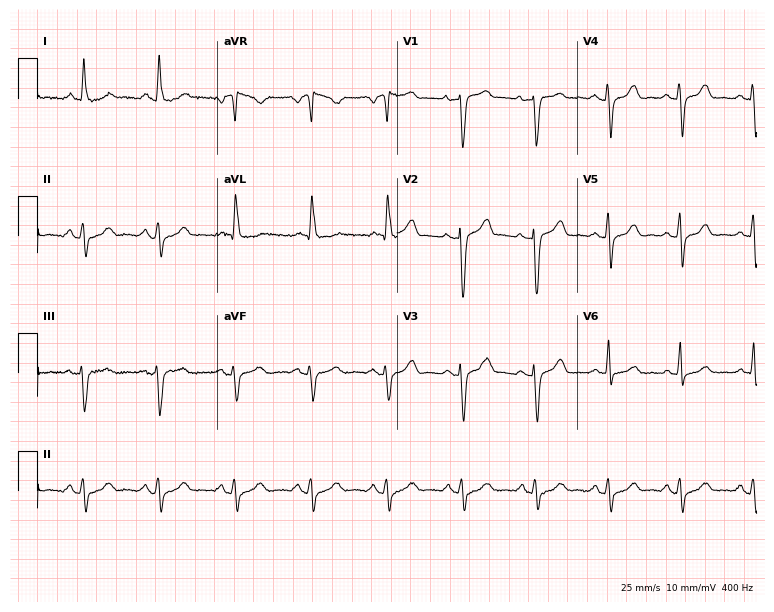
Electrocardiogram (7.3-second recording at 400 Hz), a female, 49 years old. Of the six screened findings (first-degree AV block, right bundle branch block, left bundle branch block, sinus bradycardia, atrial fibrillation, sinus tachycardia), none is recorded. Other findings, if any, are not listed.